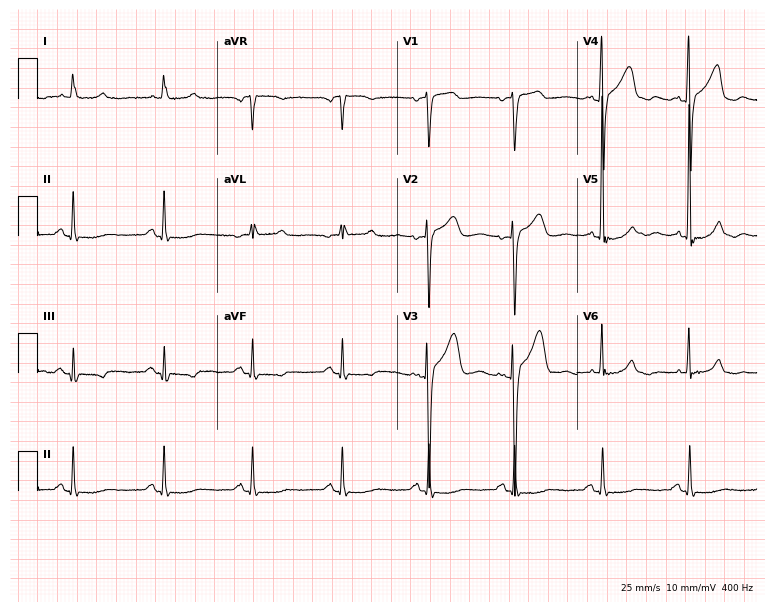
Resting 12-lead electrocardiogram. Patient: a man, 79 years old. None of these six findings is recorded: first-degree AV block, right bundle branch block, left bundle branch block, sinus bradycardia, atrial fibrillation, sinus tachycardia. Other findings, if any, are not listed.